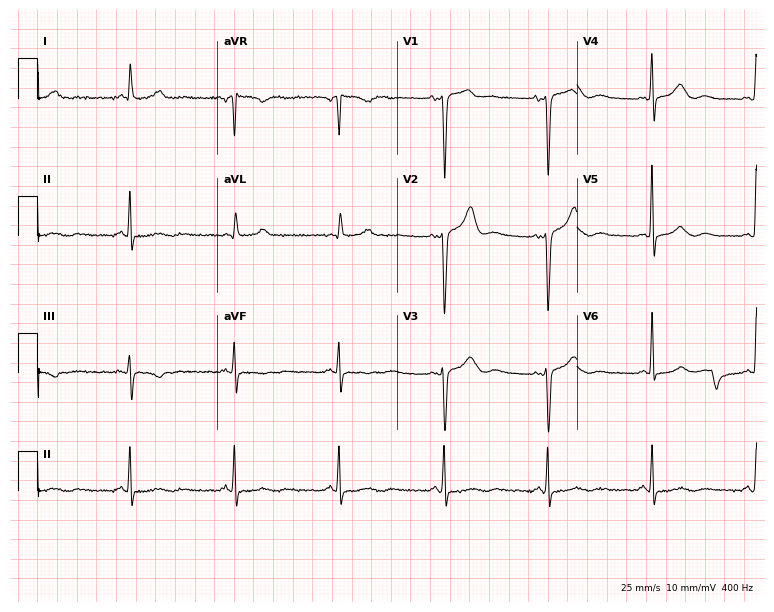
12-lead ECG from a woman, 76 years old. Recorded interpretation: within normal limits.